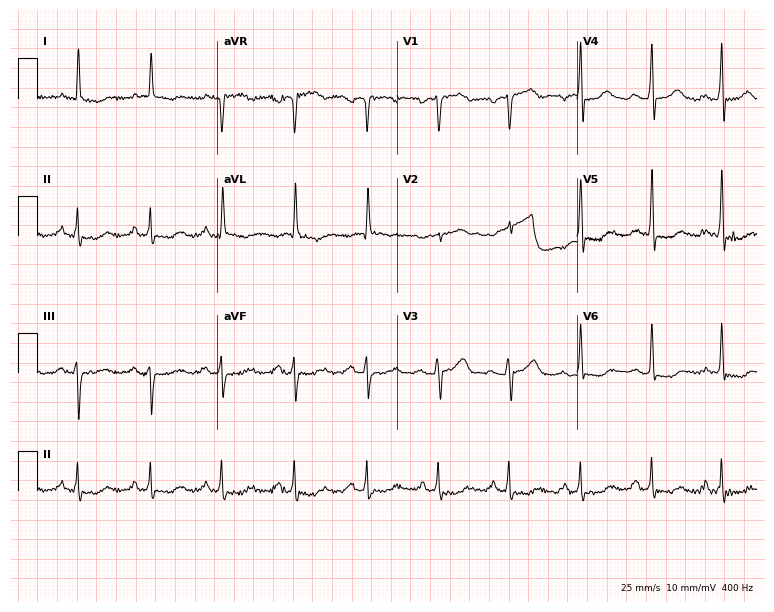
Resting 12-lead electrocardiogram (7.3-second recording at 400 Hz). Patient: a 57-year-old woman. None of these six findings is recorded: first-degree AV block, right bundle branch block, left bundle branch block, sinus bradycardia, atrial fibrillation, sinus tachycardia.